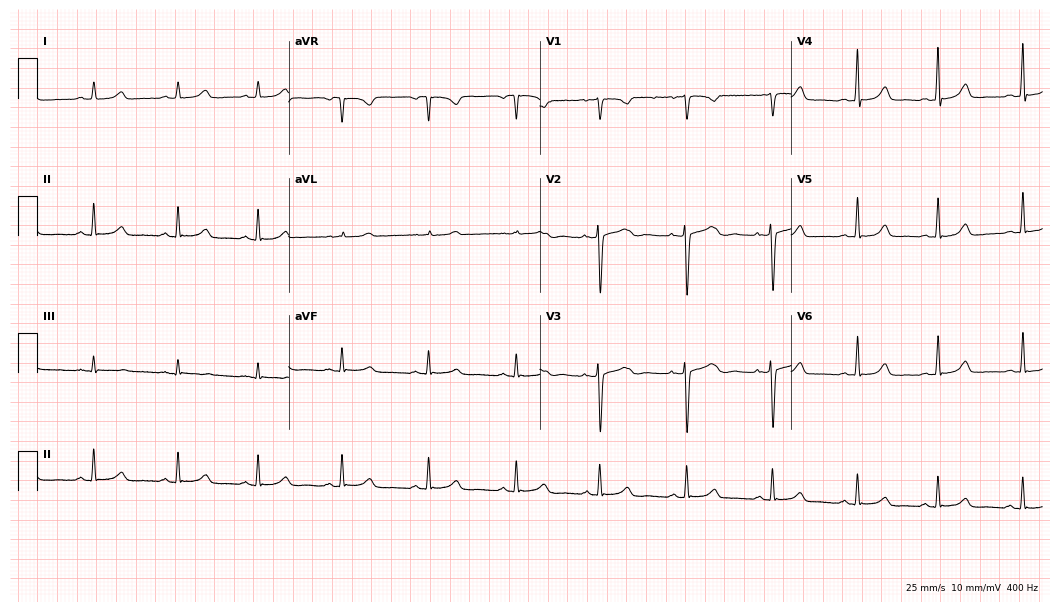
12-lead ECG (10.2-second recording at 400 Hz) from a female, 19 years old. Labelled as a normal ECG.